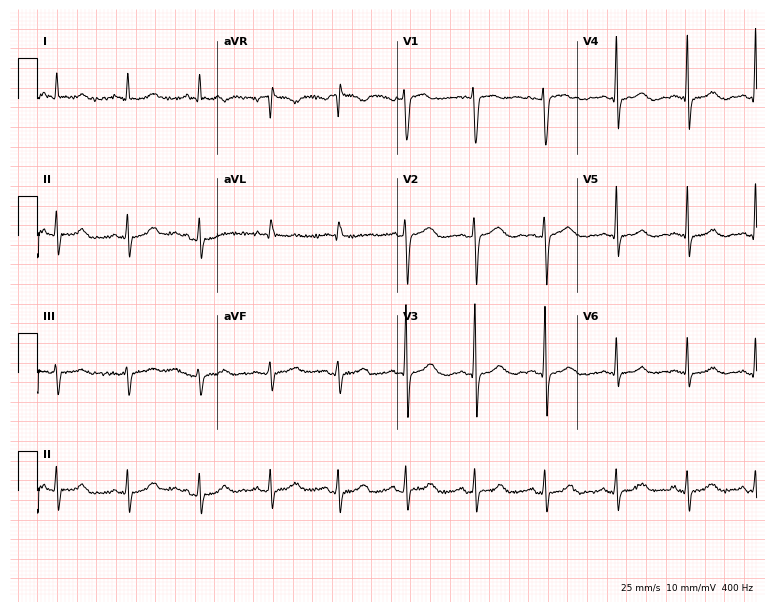
ECG — a 67-year-old female patient. Screened for six findings — first-degree AV block, right bundle branch block, left bundle branch block, sinus bradycardia, atrial fibrillation, sinus tachycardia — none is recorded. Findings outside these six are not listed.